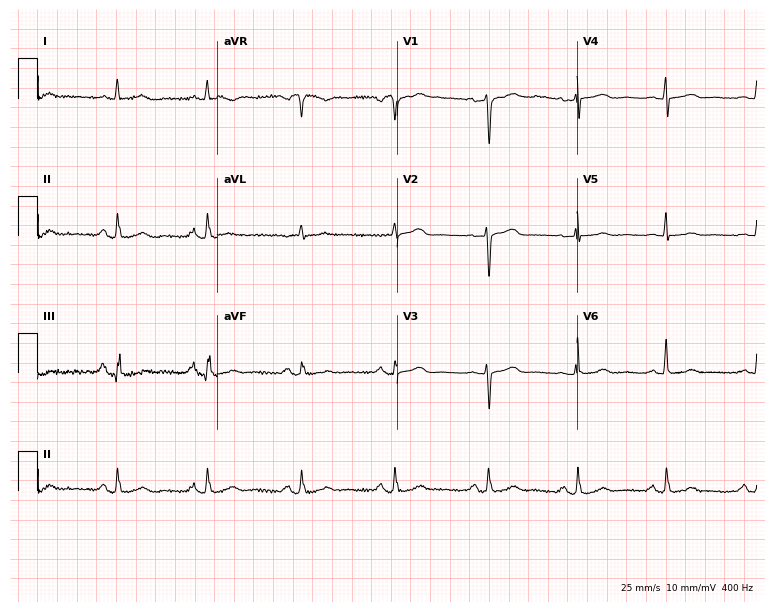
12-lead ECG from a female patient, 73 years old (7.3-second recording at 400 Hz). No first-degree AV block, right bundle branch block (RBBB), left bundle branch block (LBBB), sinus bradycardia, atrial fibrillation (AF) or sinus tachycardia recorded for this tracing. Findings outside these six are not listed.